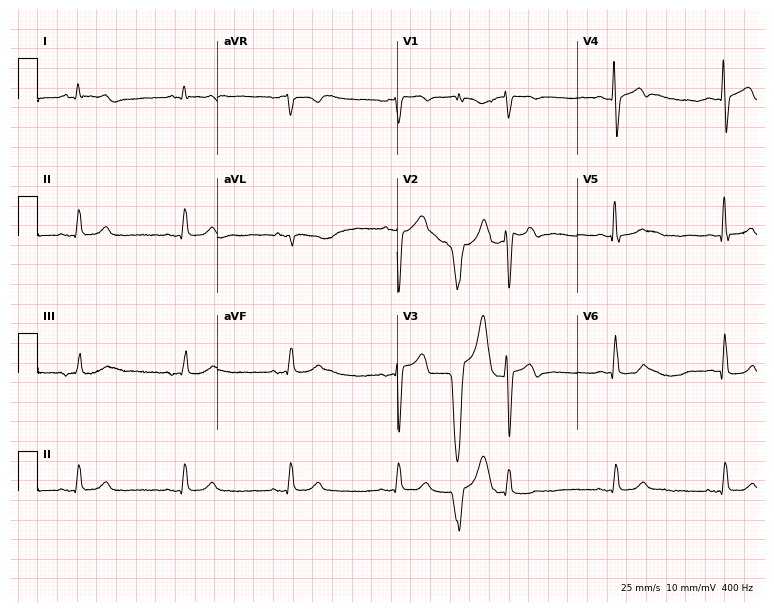
Resting 12-lead electrocardiogram (7.3-second recording at 400 Hz). Patient: a 64-year-old man. Read as a normal ECG.